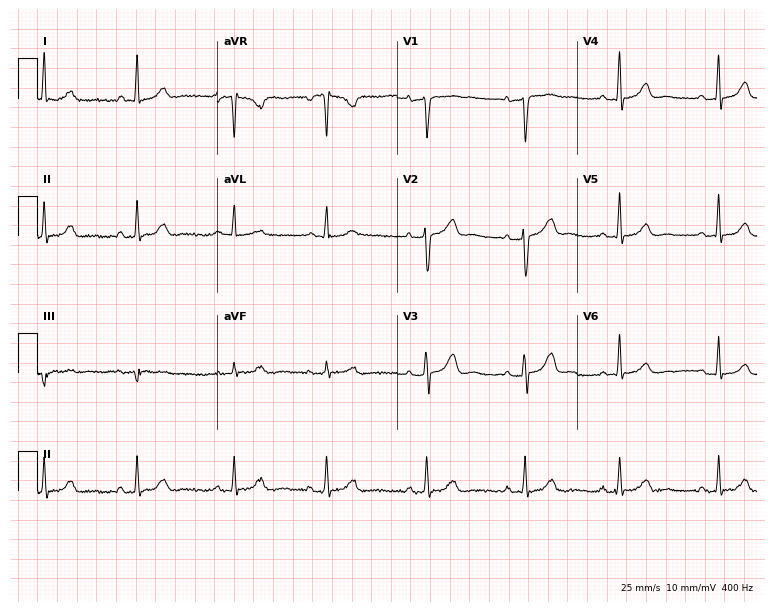
Resting 12-lead electrocardiogram. Patient: a 48-year-old woman. Read as a normal ECG.